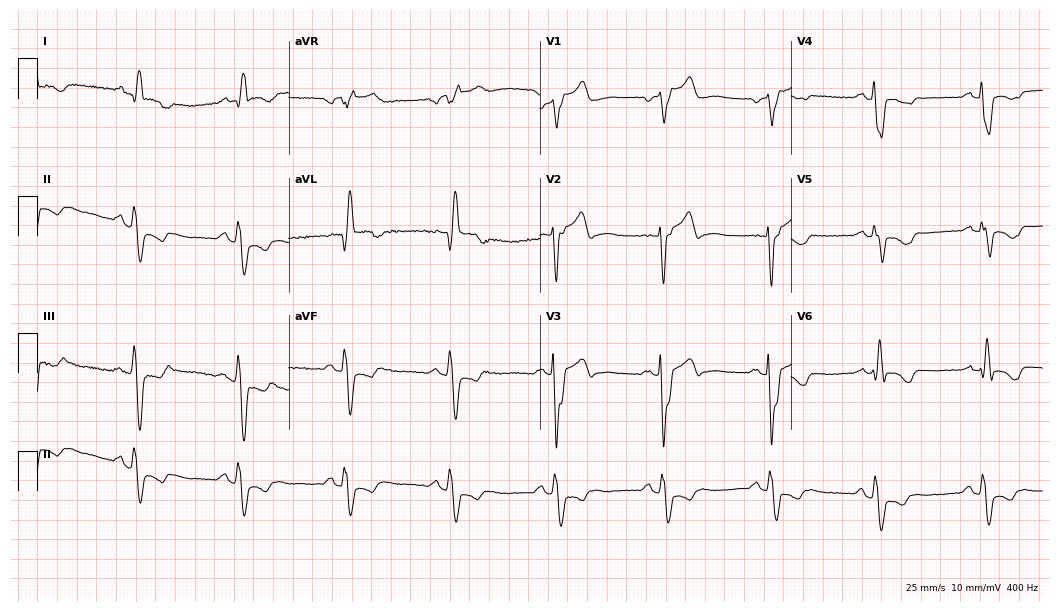
Resting 12-lead electrocardiogram. Patient: a man, 62 years old. None of these six findings is recorded: first-degree AV block, right bundle branch block, left bundle branch block, sinus bradycardia, atrial fibrillation, sinus tachycardia. Only these six findings were labelled.